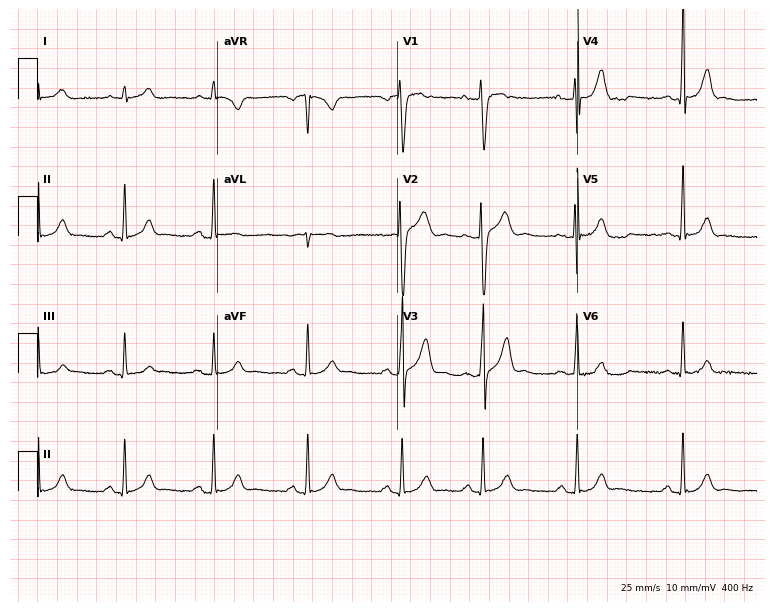
Resting 12-lead electrocardiogram. Patient: a male, 23 years old. Read as a normal ECG.